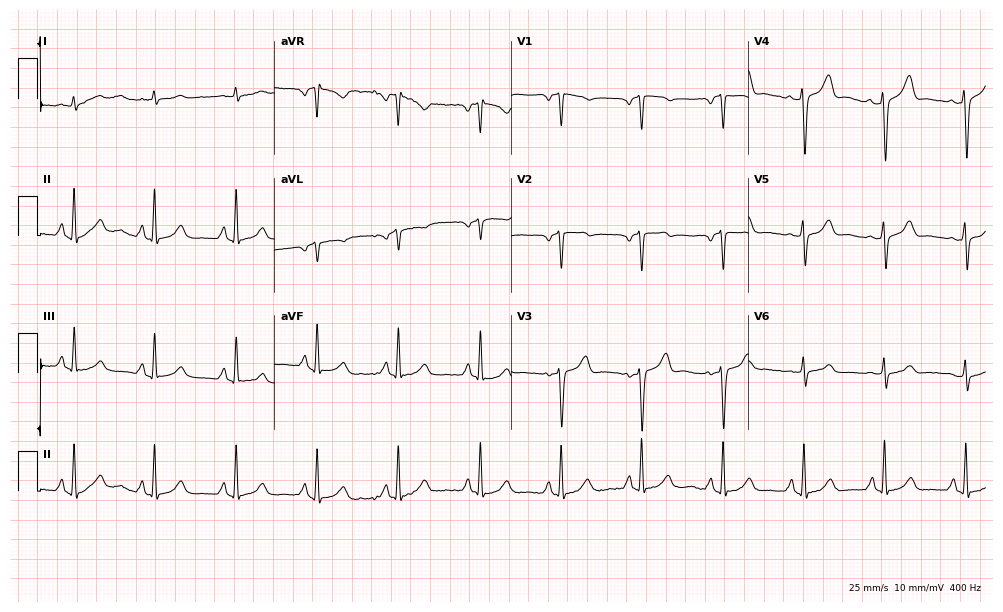
Resting 12-lead electrocardiogram. Patient: a 62-year-old male. None of these six findings is recorded: first-degree AV block, right bundle branch block, left bundle branch block, sinus bradycardia, atrial fibrillation, sinus tachycardia. Other findings, if any, are not listed.